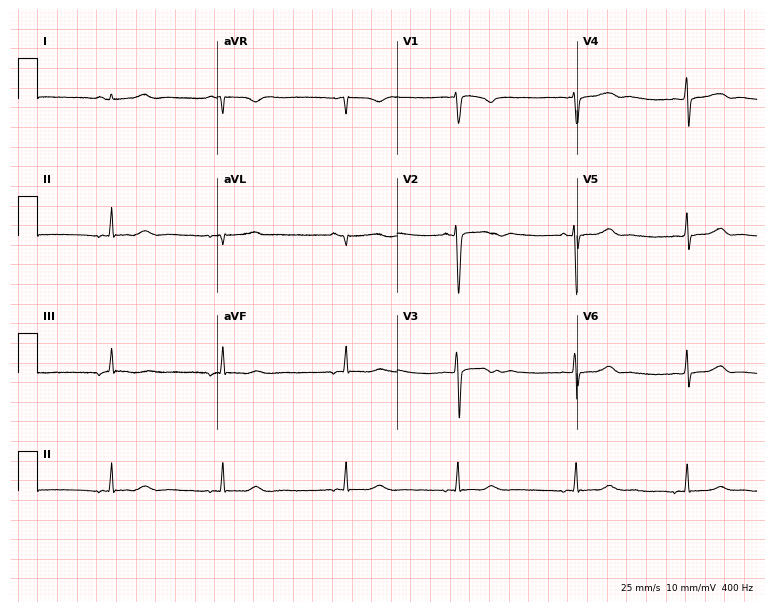
Electrocardiogram, an 18-year-old female. Of the six screened findings (first-degree AV block, right bundle branch block, left bundle branch block, sinus bradycardia, atrial fibrillation, sinus tachycardia), none is recorded. Only these six findings were labelled.